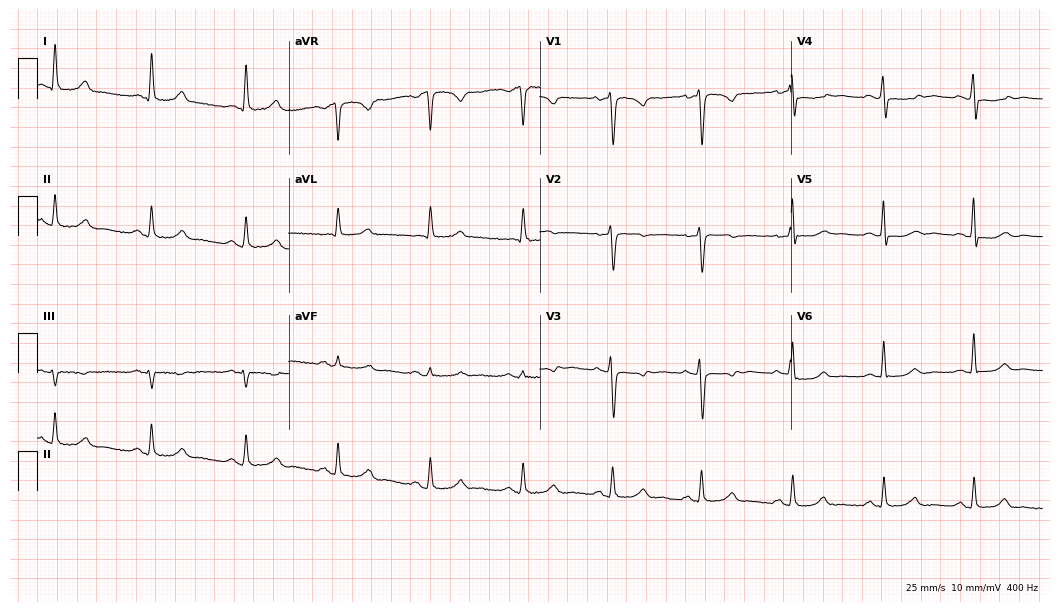
Electrocardiogram, a 53-year-old woman. Of the six screened findings (first-degree AV block, right bundle branch block (RBBB), left bundle branch block (LBBB), sinus bradycardia, atrial fibrillation (AF), sinus tachycardia), none is recorded. Other findings, if any, are not listed.